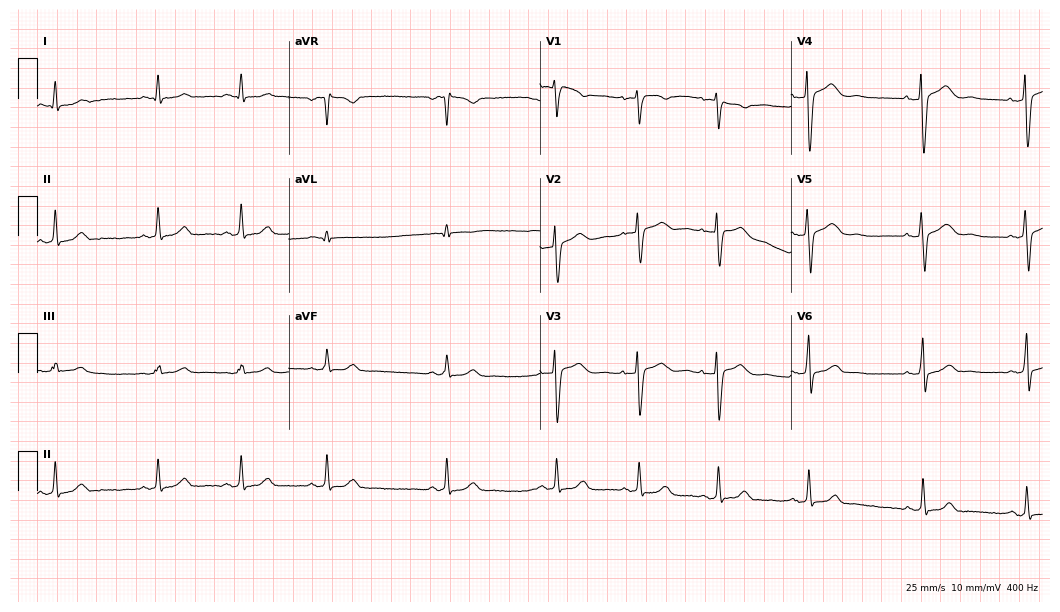
Standard 12-lead ECG recorded from a 36-year-old woman. Read as a normal ECG.